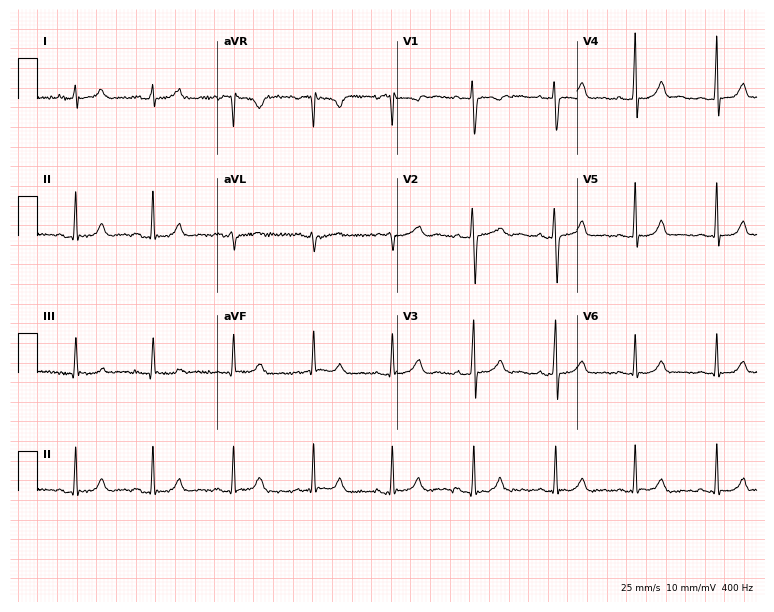
12-lead ECG from a female, 28 years old (7.3-second recording at 400 Hz). Recorded interpretation: within normal limits.